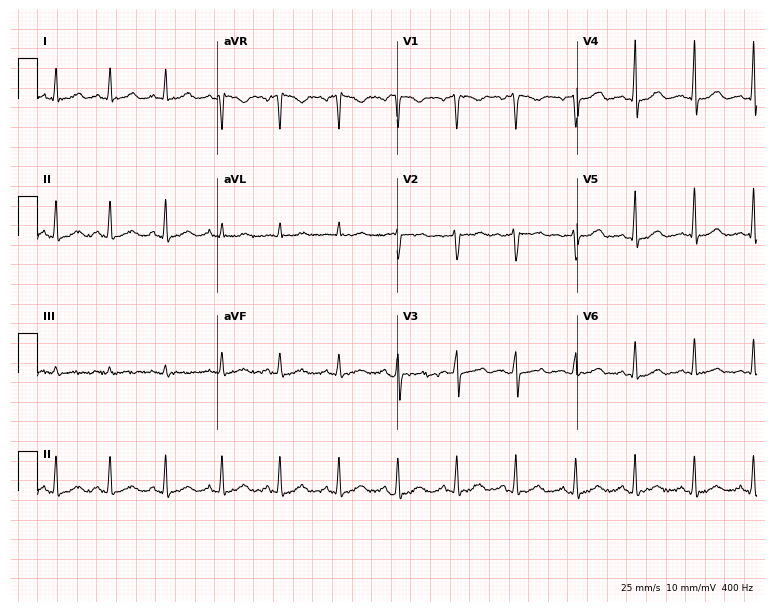
Electrocardiogram, a woman, 24 years old. Interpretation includes sinus tachycardia (a sinus rate of 100 beats per minute or more).